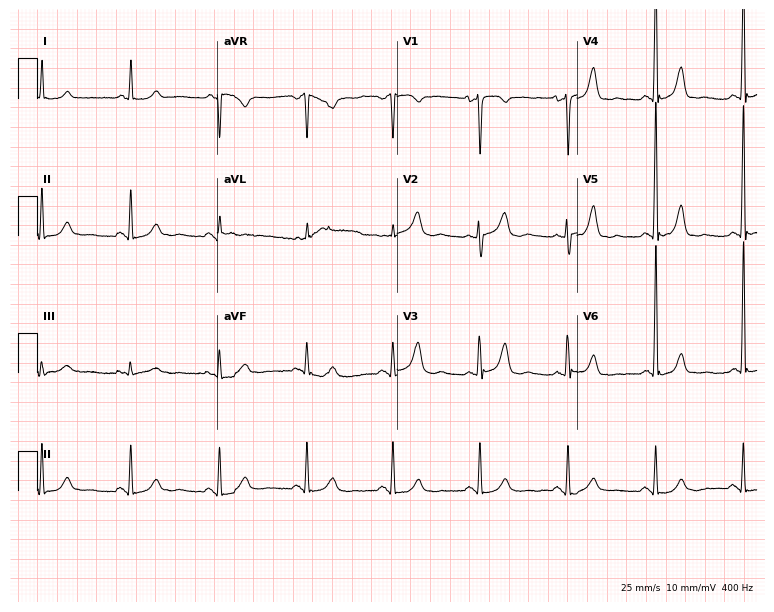
ECG — a 65-year-old female patient. Screened for six findings — first-degree AV block, right bundle branch block, left bundle branch block, sinus bradycardia, atrial fibrillation, sinus tachycardia — none is recorded.